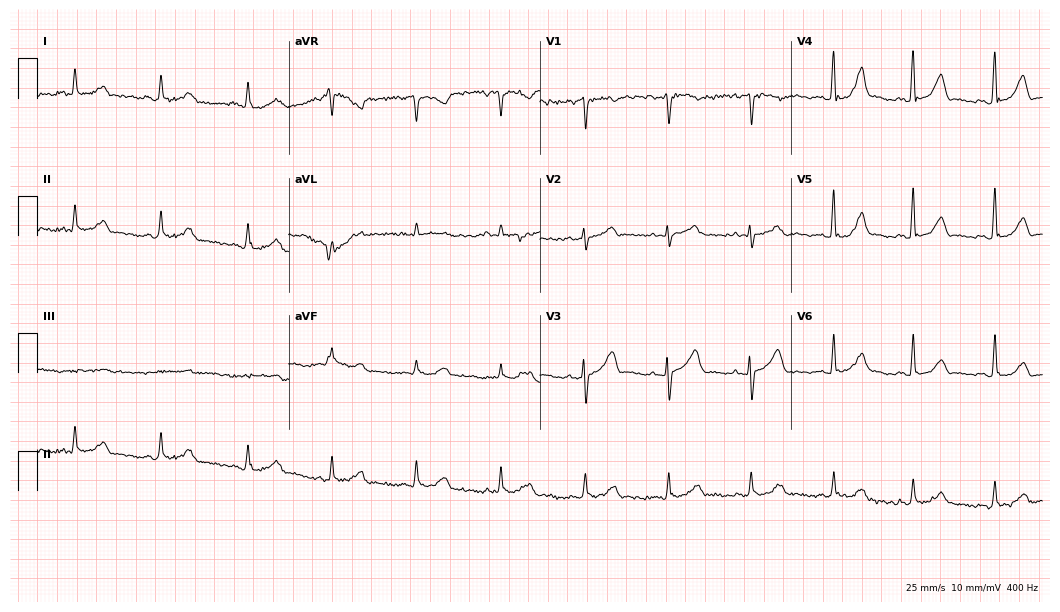
12-lead ECG (10.2-second recording at 400 Hz) from a 62-year-old female patient. Labelled as a normal ECG.